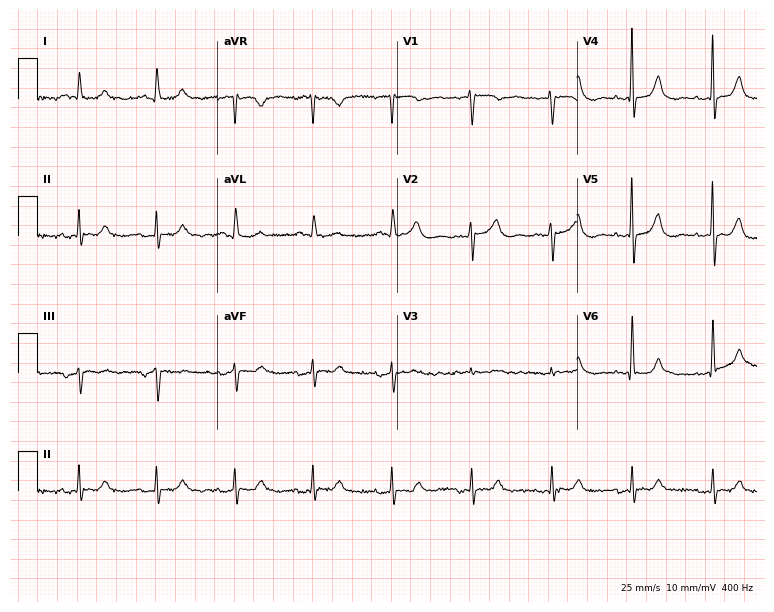
Resting 12-lead electrocardiogram. Patient: a 75-year-old man. None of these six findings is recorded: first-degree AV block, right bundle branch block, left bundle branch block, sinus bradycardia, atrial fibrillation, sinus tachycardia. Findings outside these six are not listed.